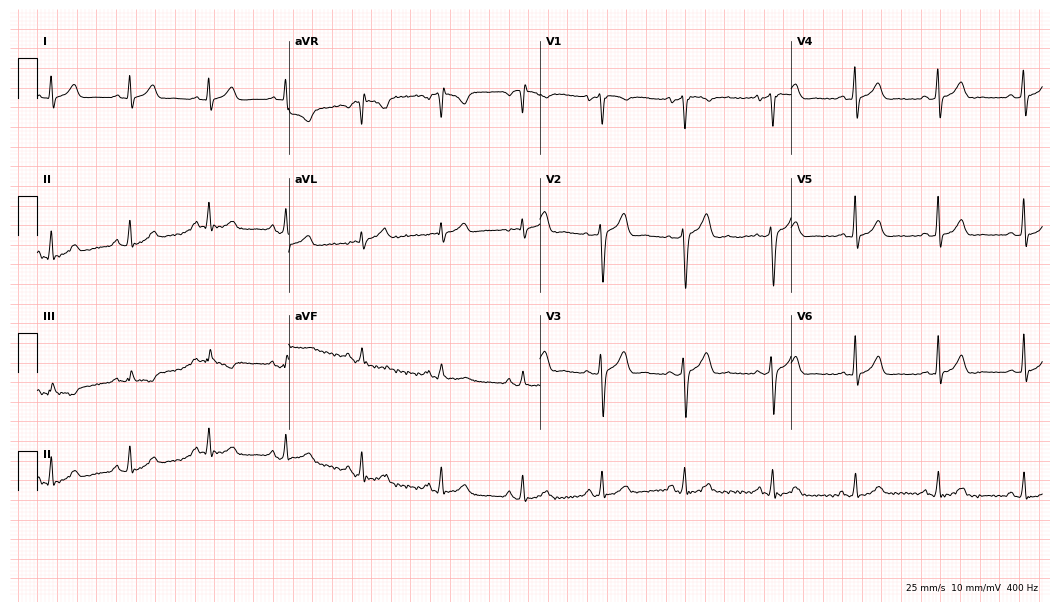
ECG (10.2-second recording at 400 Hz) — a 22-year-old male. Labelled as a normal ECG.